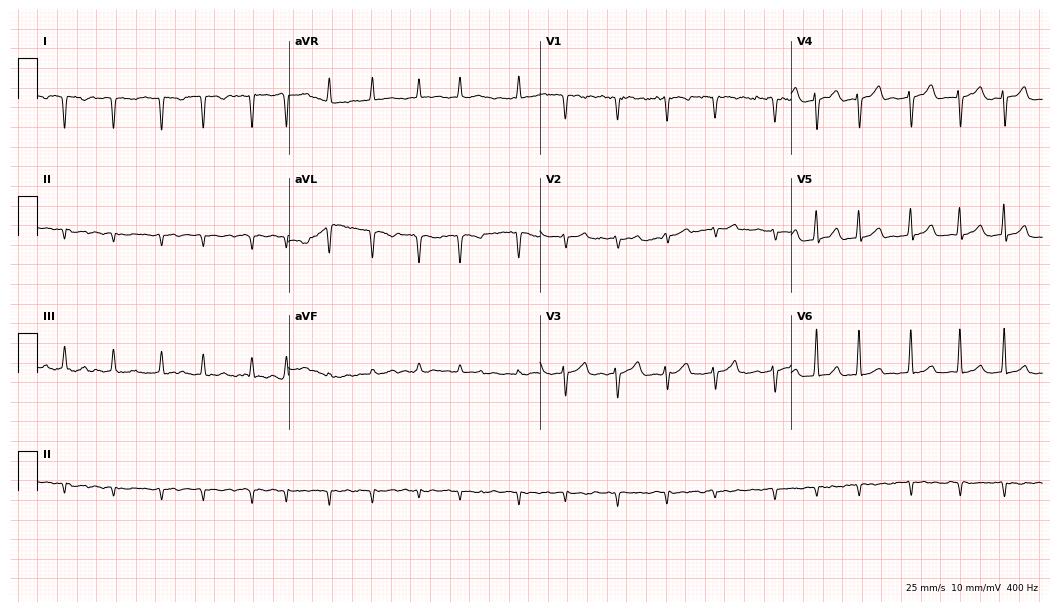
12-lead ECG (10.2-second recording at 400 Hz) from a woman, 82 years old. Screened for six findings — first-degree AV block, right bundle branch block, left bundle branch block, sinus bradycardia, atrial fibrillation, sinus tachycardia — none is recorded. Only these six findings were labelled.